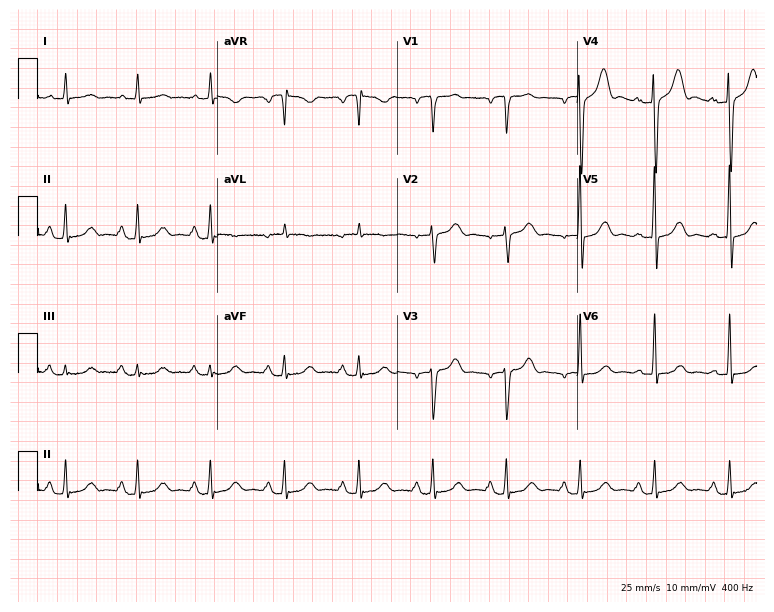
Resting 12-lead electrocardiogram. Patient: a male, 64 years old. Read as a normal ECG.